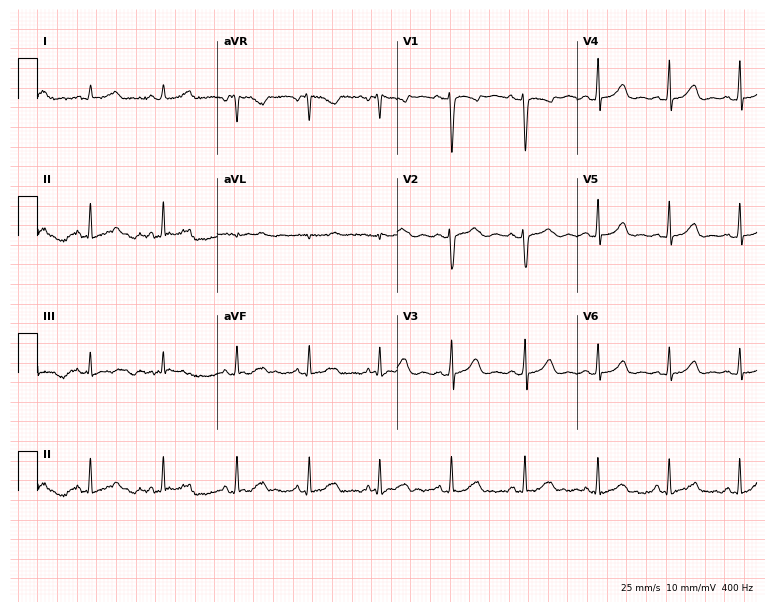
Electrocardiogram, a 30-year-old female patient. Overall reading on record: normal ECG.